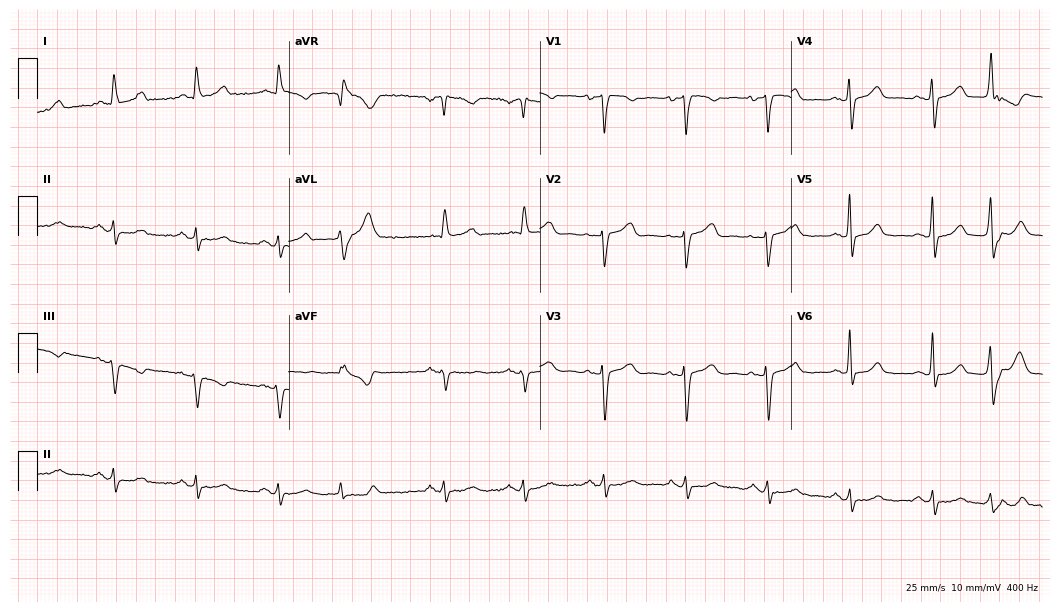
Resting 12-lead electrocardiogram. Patient: a female, 81 years old. None of these six findings is recorded: first-degree AV block, right bundle branch block (RBBB), left bundle branch block (LBBB), sinus bradycardia, atrial fibrillation (AF), sinus tachycardia. Only these six findings were labelled.